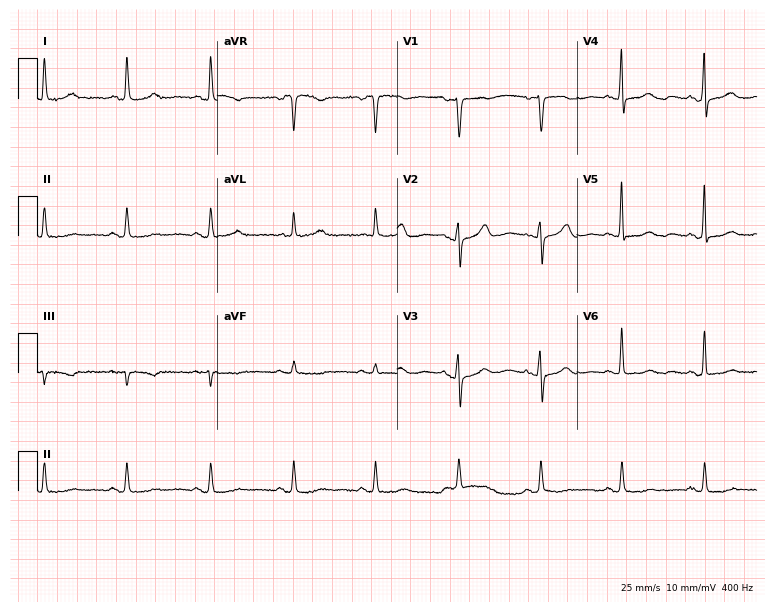
Standard 12-lead ECG recorded from an 83-year-old woman (7.3-second recording at 400 Hz). None of these six findings is recorded: first-degree AV block, right bundle branch block (RBBB), left bundle branch block (LBBB), sinus bradycardia, atrial fibrillation (AF), sinus tachycardia.